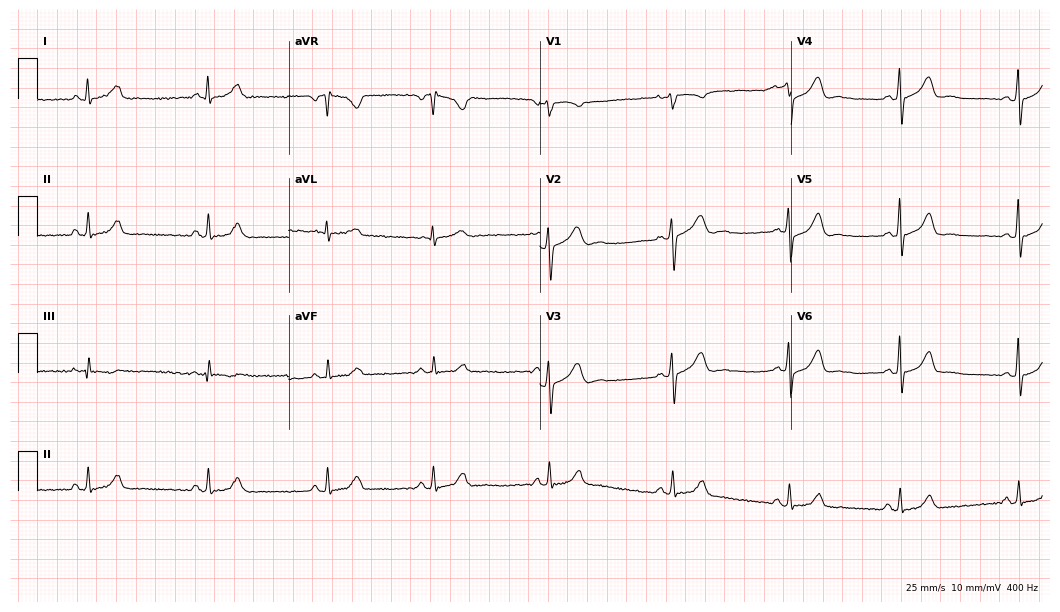
12-lead ECG from a 28-year-old female patient. No first-degree AV block, right bundle branch block (RBBB), left bundle branch block (LBBB), sinus bradycardia, atrial fibrillation (AF) or sinus tachycardia recorded for this tracing. Findings outside these six are not listed.